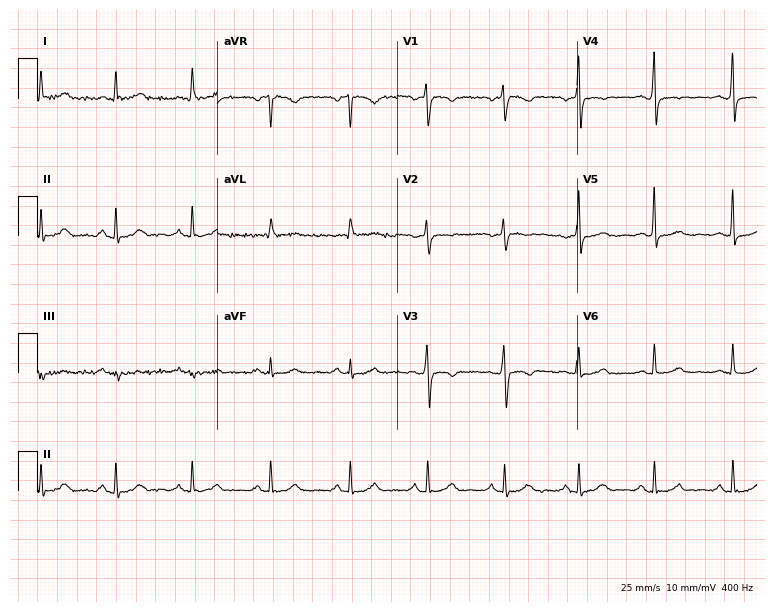
12-lead ECG from a 54-year-old woman. No first-degree AV block, right bundle branch block, left bundle branch block, sinus bradycardia, atrial fibrillation or sinus tachycardia recorded for this tracing. Other findings, if any, are not listed.